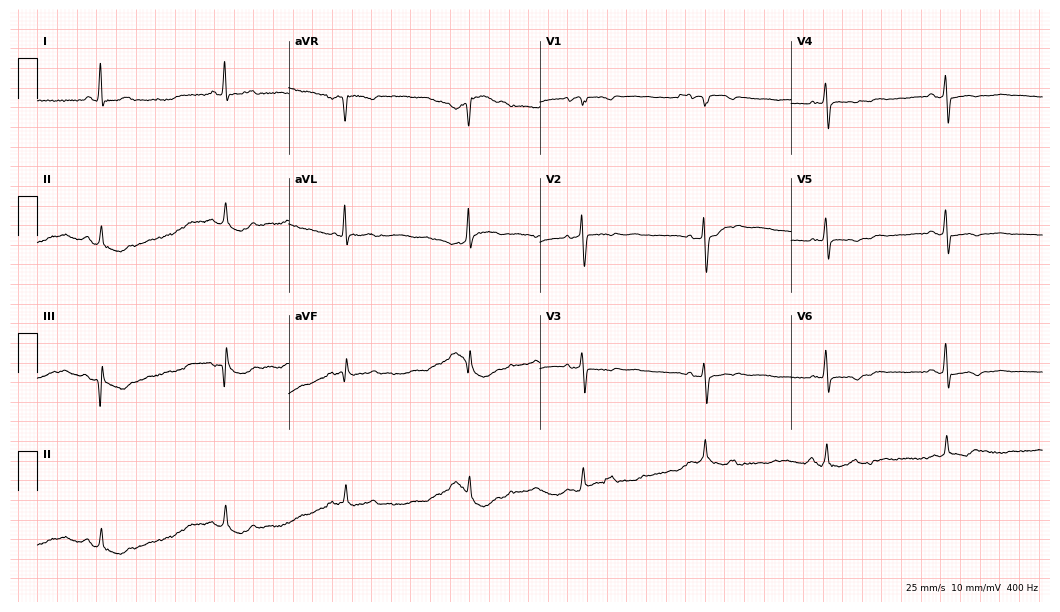
Electrocardiogram, an 85-year-old woman. Interpretation includes sinus bradycardia (a sinus rate of 50 beats per minute or less).